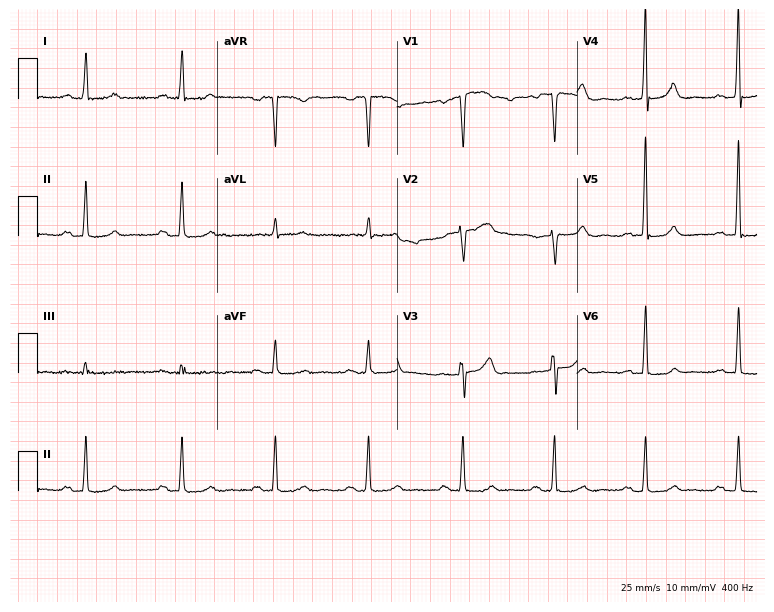
Electrocardiogram (7.3-second recording at 400 Hz), a woman, 72 years old. Interpretation includes first-degree AV block.